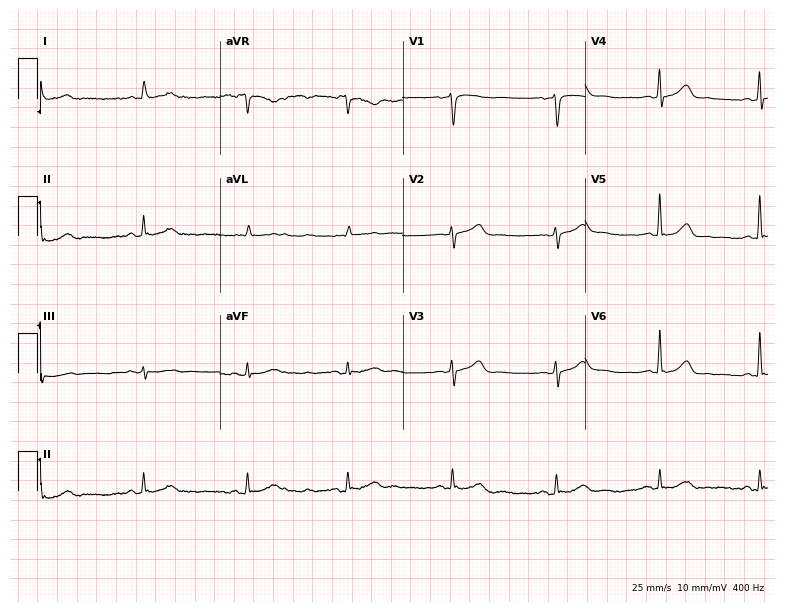
12-lead ECG from a male patient, 83 years old. No first-degree AV block, right bundle branch block (RBBB), left bundle branch block (LBBB), sinus bradycardia, atrial fibrillation (AF) or sinus tachycardia recorded for this tracing. Other findings, if any, are not listed.